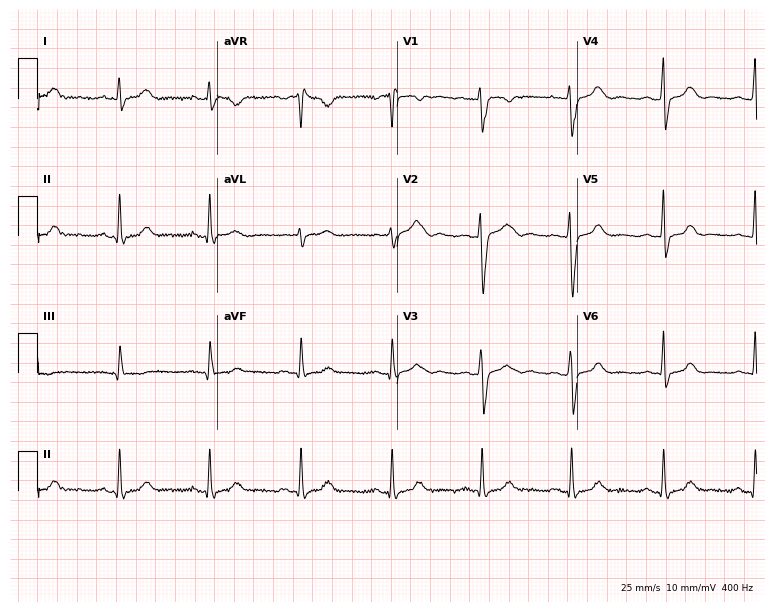
ECG — a 33-year-old female patient. Screened for six findings — first-degree AV block, right bundle branch block (RBBB), left bundle branch block (LBBB), sinus bradycardia, atrial fibrillation (AF), sinus tachycardia — none is recorded.